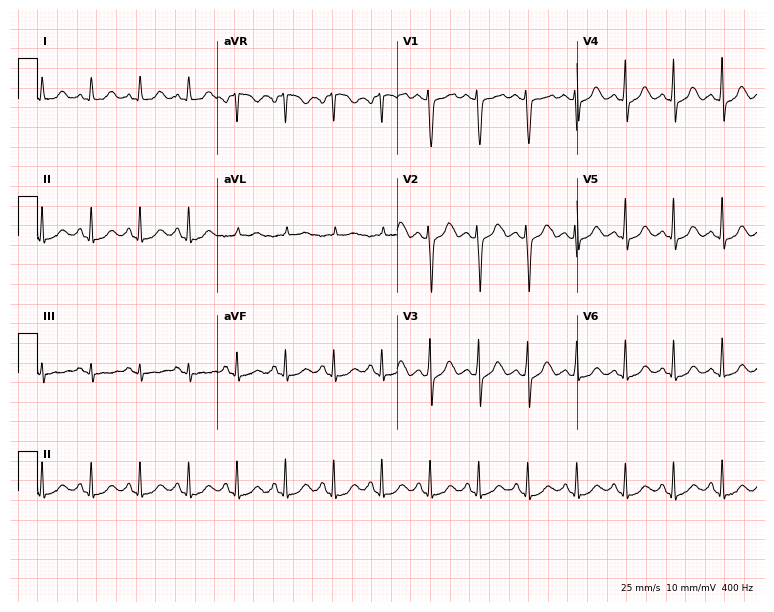
12-lead ECG from a female patient, 33 years old (7.3-second recording at 400 Hz). Shows sinus tachycardia (a sinus rate of 100 beats per minute or more).